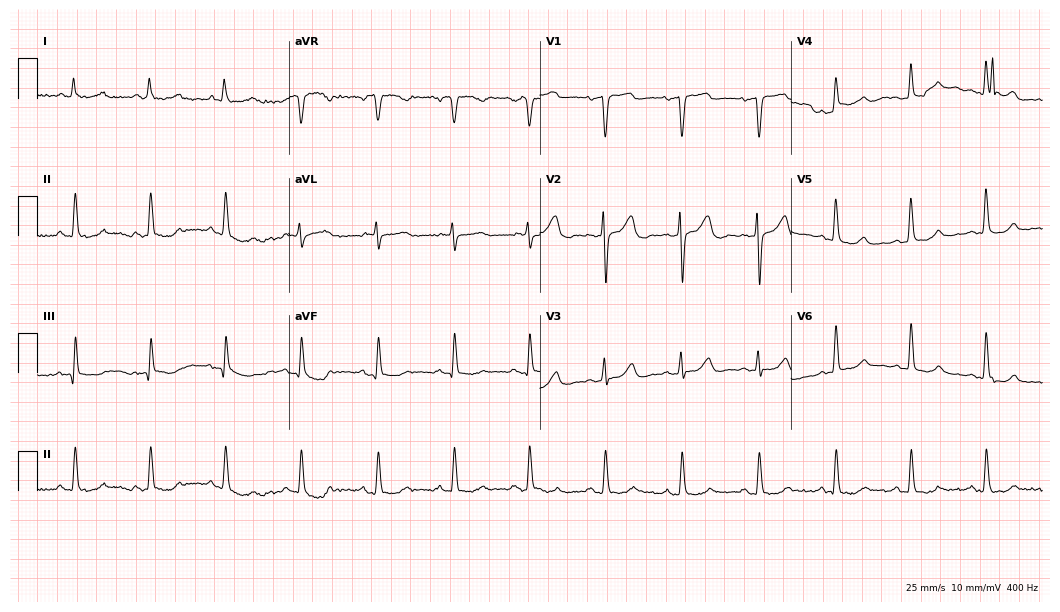
12-lead ECG from a 71-year-old female patient. Labelled as a normal ECG.